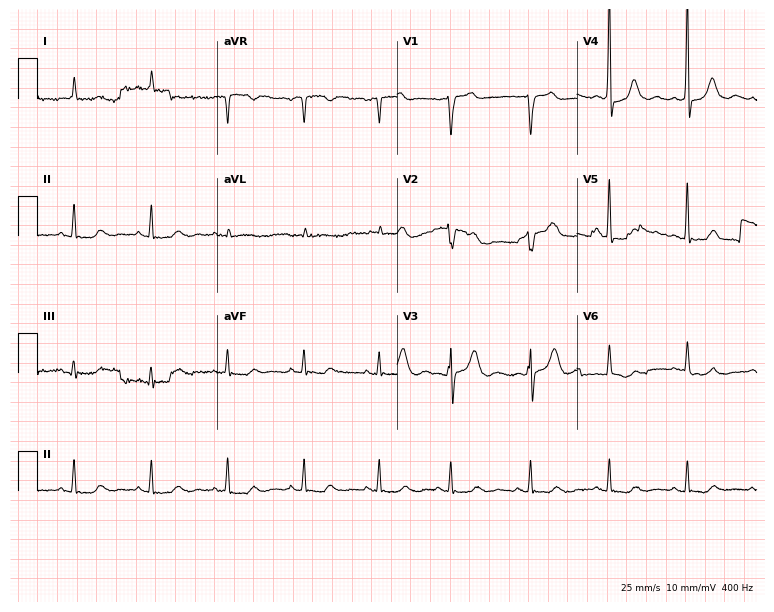
Resting 12-lead electrocardiogram. Patient: an 80-year-old man. None of these six findings is recorded: first-degree AV block, right bundle branch block, left bundle branch block, sinus bradycardia, atrial fibrillation, sinus tachycardia.